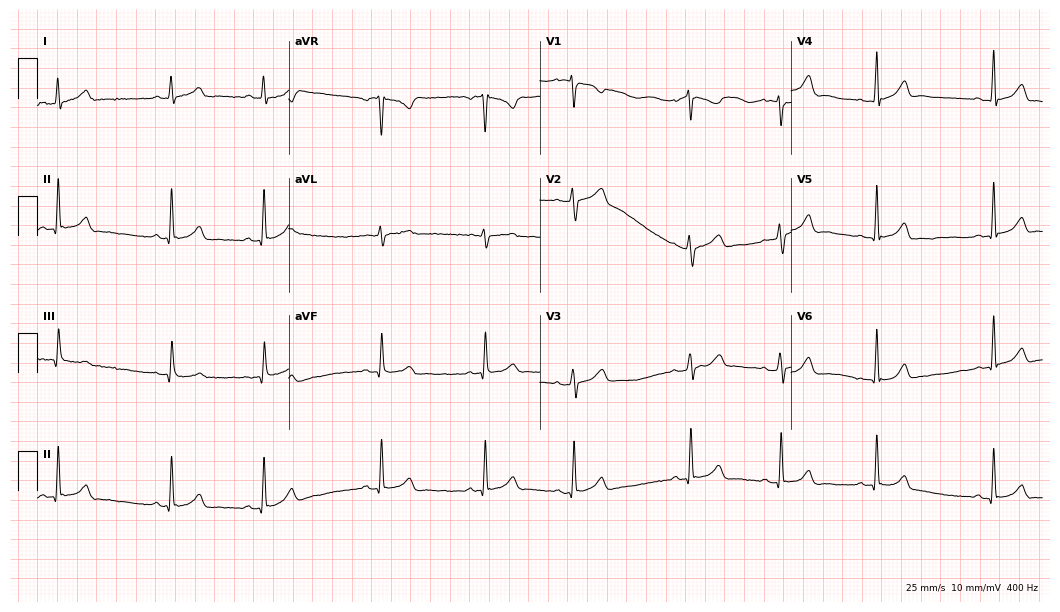
Resting 12-lead electrocardiogram. Patient: a female, 20 years old. None of these six findings is recorded: first-degree AV block, right bundle branch block, left bundle branch block, sinus bradycardia, atrial fibrillation, sinus tachycardia.